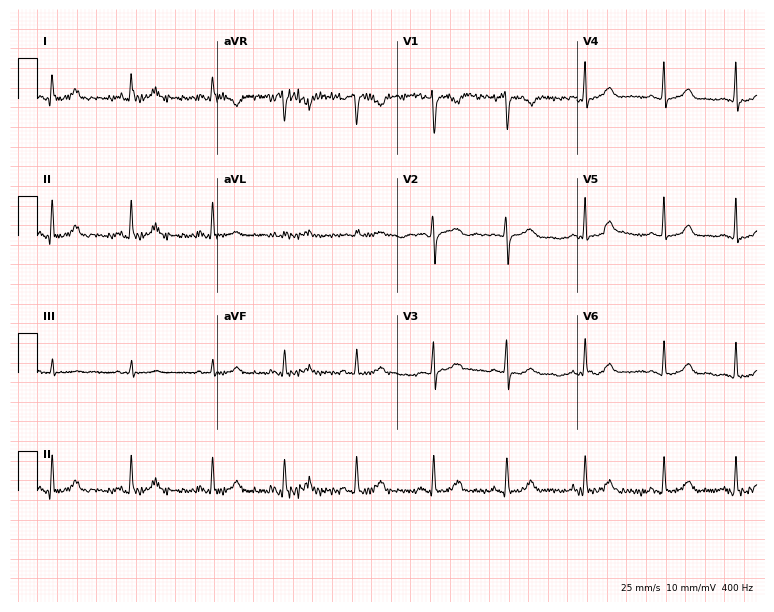
12-lead ECG from a 19-year-old female patient. Recorded interpretation: within normal limits.